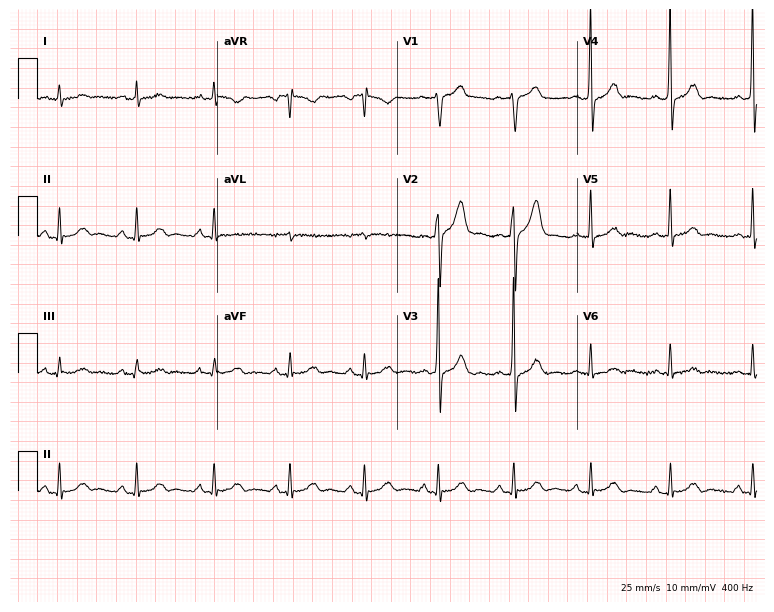
Electrocardiogram (7.3-second recording at 400 Hz), a man, 55 years old. Overall reading on record: normal ECG.